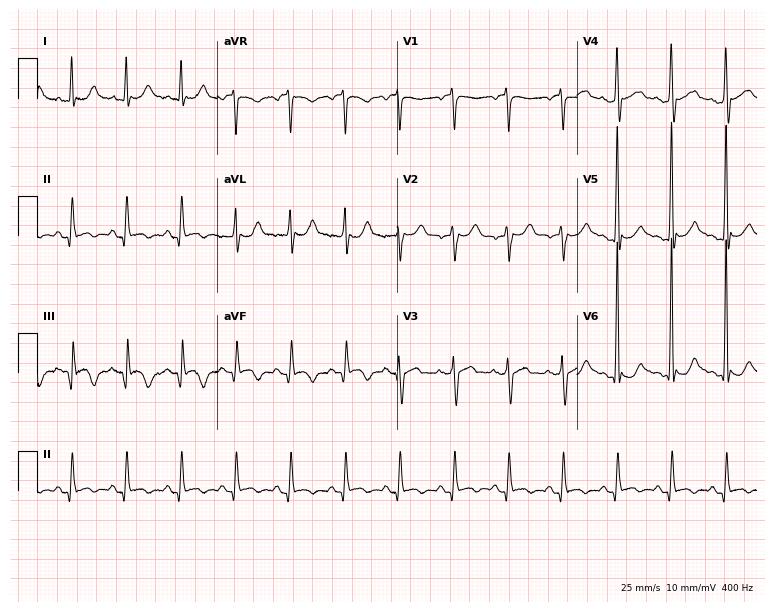
12-lead ECG from a 68-year-old man. Screened for six findings — first-degree AV block, right bundle branch block, left bundle branch block, sinus bradycardia, atrial fibrillation, sinus tachycardia — none is recorded. Only these six findings were labelled.